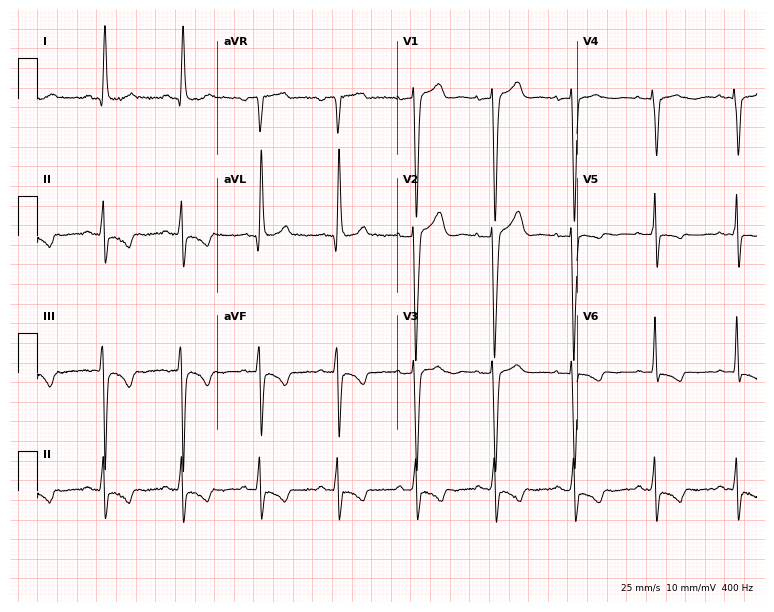
12-lead ECG from a 47-year-old male. Screened for six findings — first-degree AV block, right bundle branch block, left bundle branch block, sinus bradycardia, atrial fibrillation, sinus tachycardia — none is recorded.